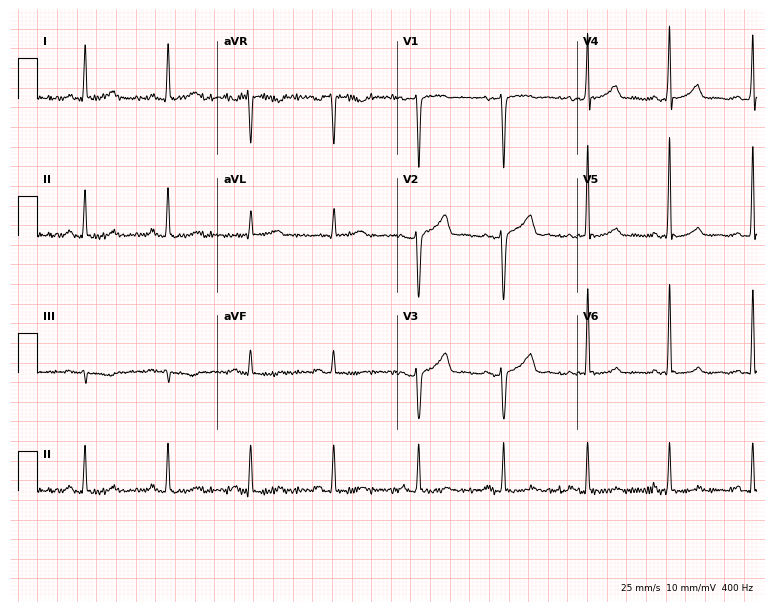
12-lead ECG from a 46-year-old female. Recorded interpretation: within normal limits.